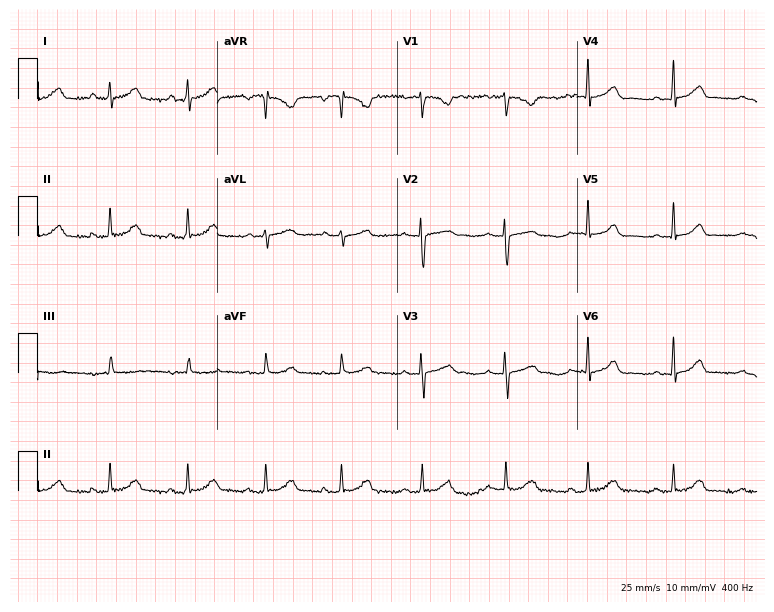
Standard 12-lead ECG recorded from a 29-year-old female (7.3-second recording at 400 Hz). None of these six findings is recorded: first-degree AV block, right bundle branch block, left bundle branch block, sinus bradycardia, atrial fibrillation, sinus tachycardia. Other findings, if any, are not listed.